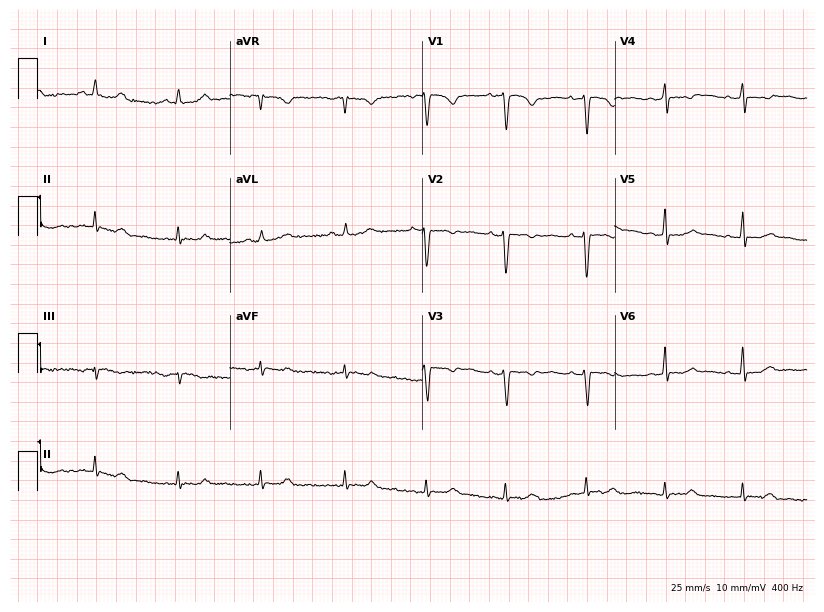
12-lead ECG from a 33-year-old male. Screened for six findings — first-degree AV block, right bundle branch block, left bundle branch block, sinus bradycardia, atrial fibrillation, sinus tachycardia — none is recorded. Other findings, if any, are not listed.